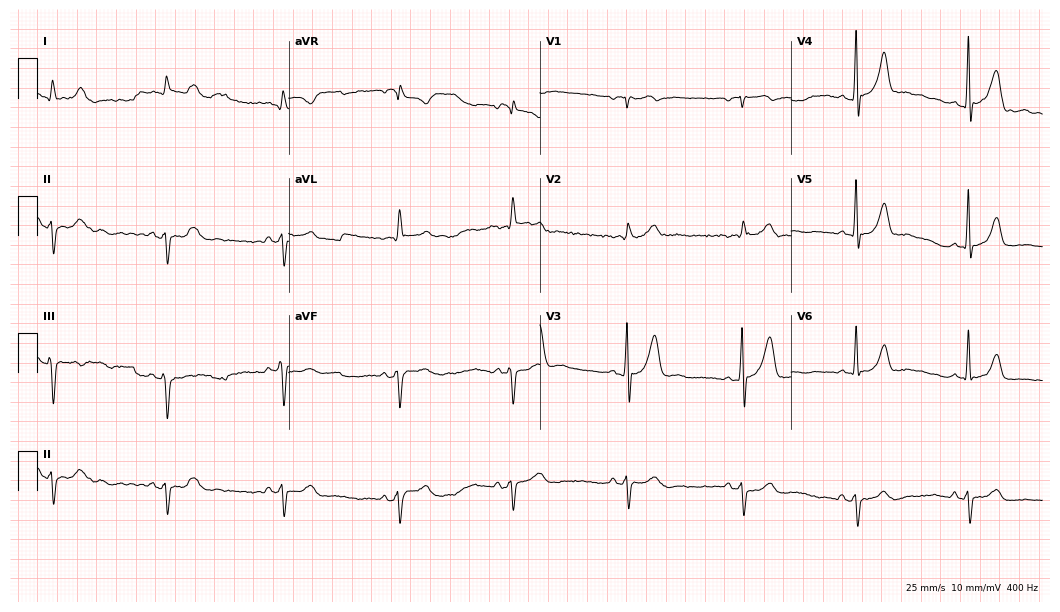
Standard 12-lead ECG recorded from a 66-year-old male patient. None of these six findings is recorded: first-degree AV block, right bundle branch block, left bundle branch block, sinus bradycardia, atrial fibrillation, sinus tachycardia.